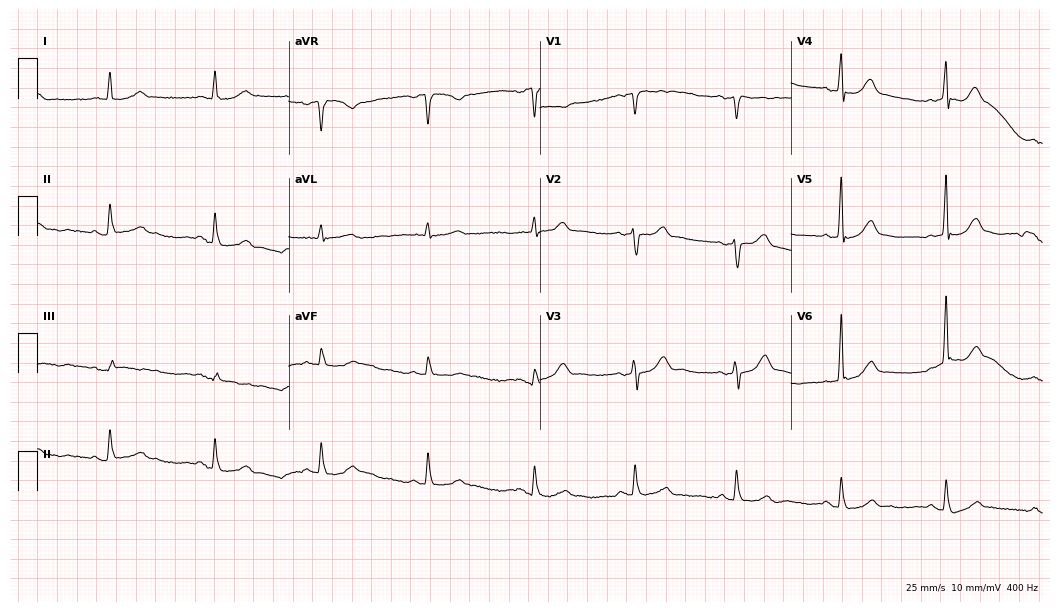
12-lead ECG (10.2-second recording at 400 Hz) from a man, 56 years old. Labelled as a normal ECG.